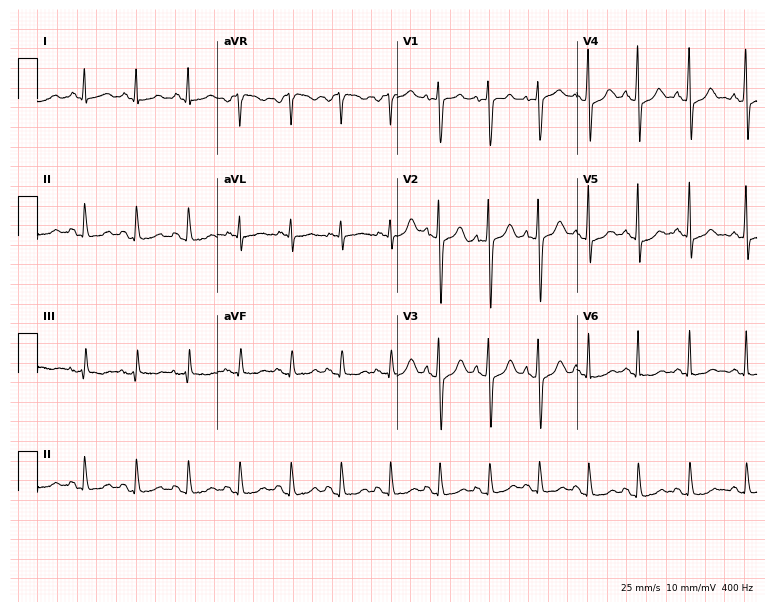
Standard 12-lead ECG recorded from a 35-year-old woman. The tracing shows sinus tachycardia (a sinus rate of 100 beats per minute or more).